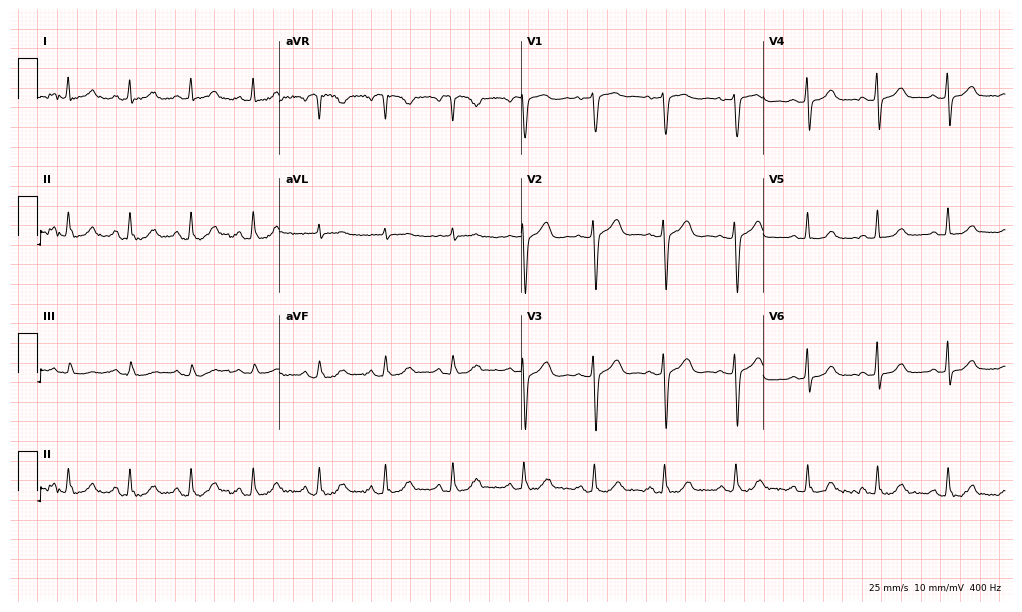
Standard 12-lead ECG recorded from a female patient, 43 years old (9.9-second recording at 400 Hz). Read as a normal ECG.